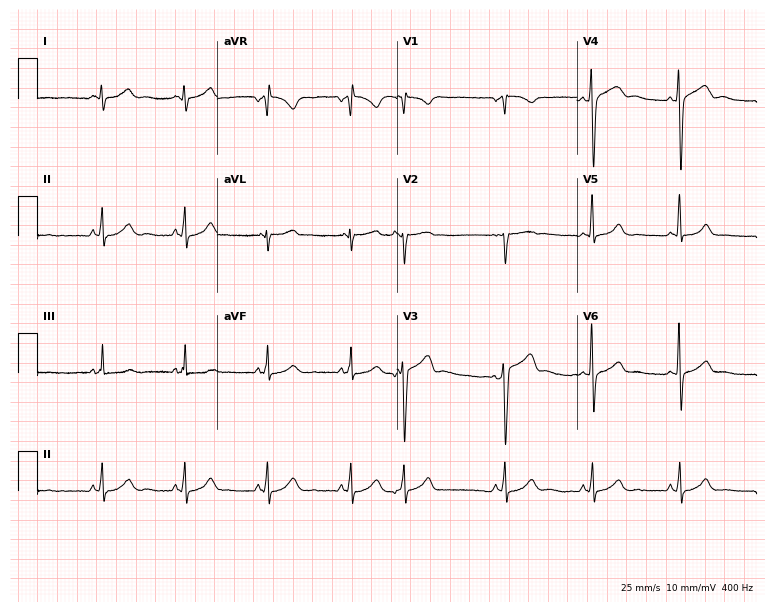
Resting 12-lead electrocardiogram (7.3-second recording at 400 Hz). Patient: a 47-year-old man. Read as a normal ECG.